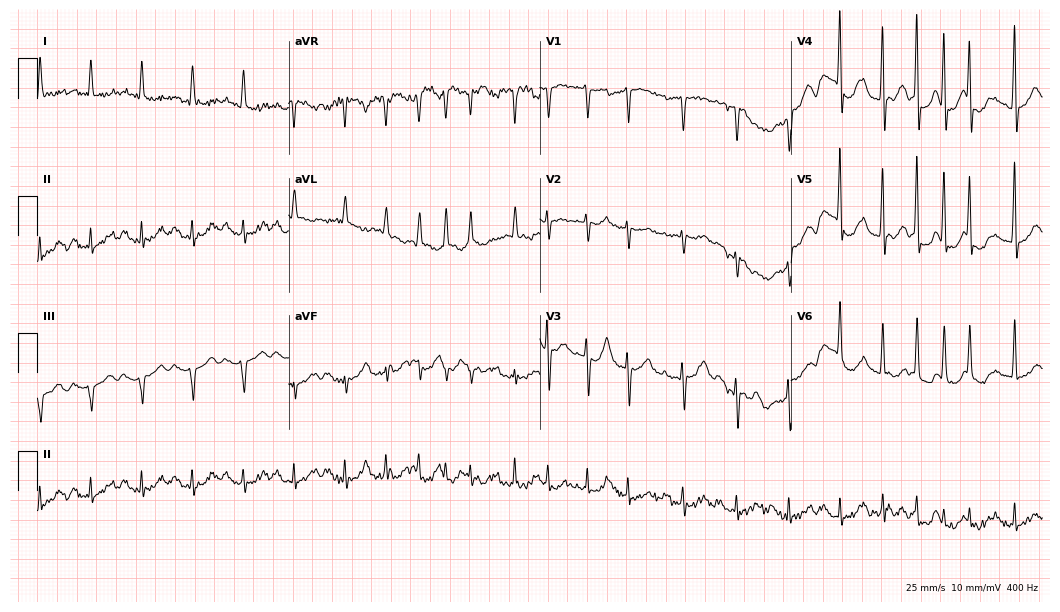
12-lead ECG from a 68-year-old man (10.2-second recording at 400 Hz). No first-degree AV block, right bundle branch block (RBBB), left bundle branch block (LBBB), sinus bradycardia, atrial fibrillation (AF) or sinus tachycardia recorded for this tracing.